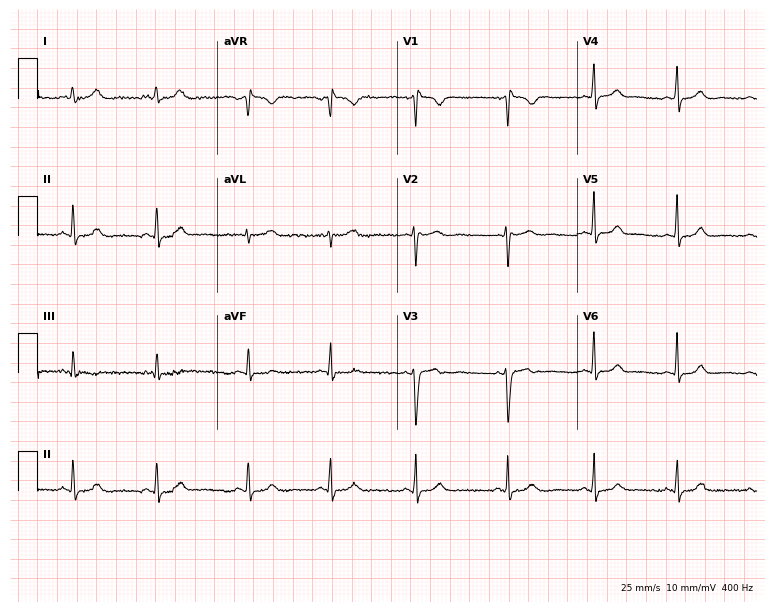
12-lead ECG (7.3-second recording at 400 Hz) from a woman, 19 years old. Screened for six findings — first-degree AV block, right bundle branch block, left bundle branch block, sinus bradycardia, atrial fibrillation, sinus tachycardia — none is recorded.